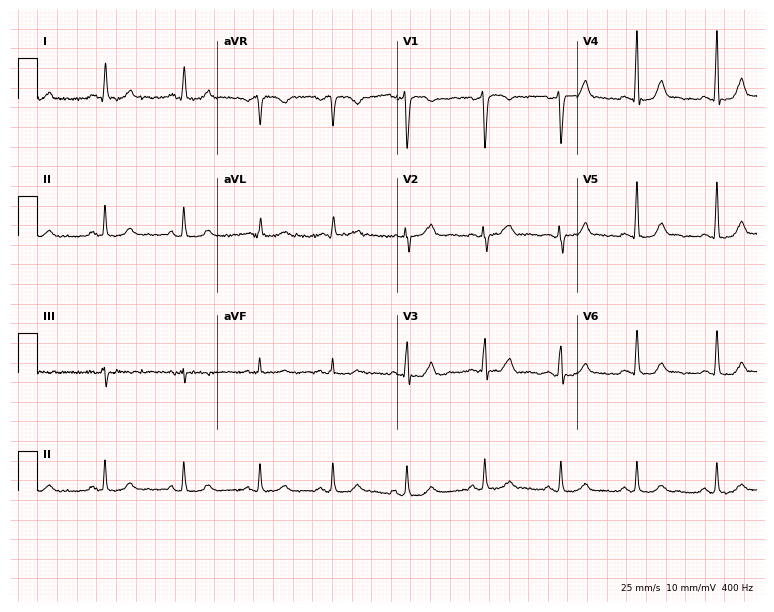
12-lead ECG from a 40-year-old female. Screened for six findings — first-degree AV block, right bundle branch block, left bundle branch block, sinus bradycardia, atrial fibrillation, sinus tachycardia — none is recorded. Findings outside these six are not listed.